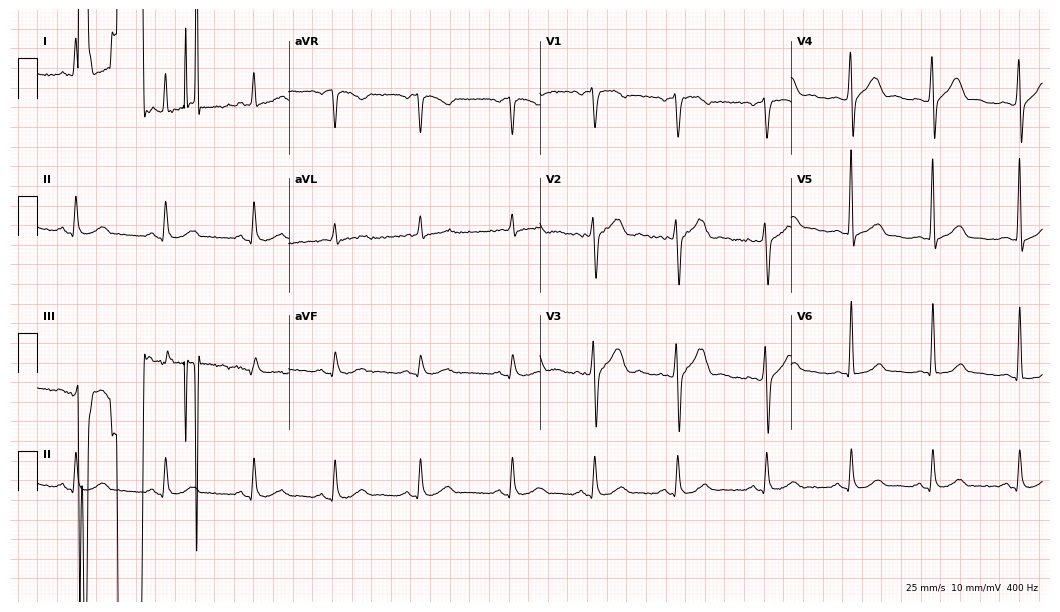
ECG (10.2-second recording at 400 Hz) — a male patient, 48 years old. Screened for six findings — first-degree AV block, right bundle branch block, left bundle branch block, sinus bradycardia, atrial fibrillation, sinus tachycardia — none is recorded.